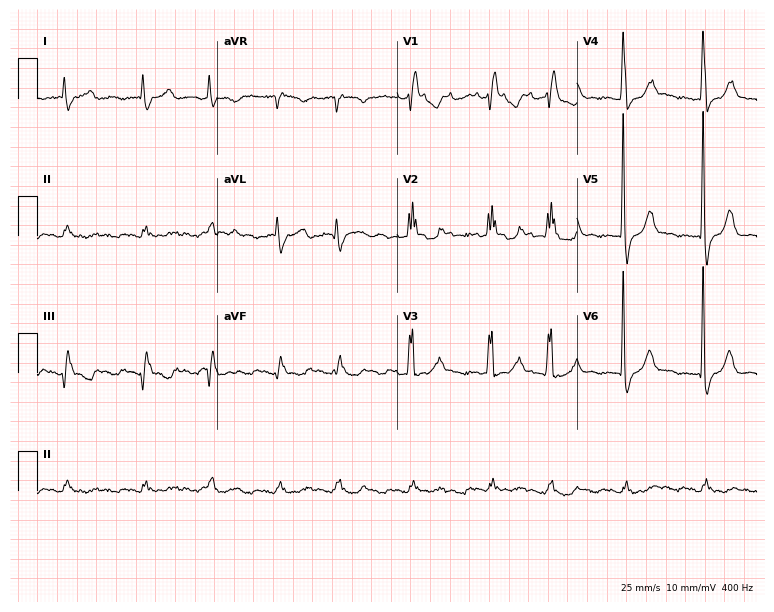
12-lead ECG from a man, 82 years old (7.3-second recording at 400 Hz). No first-degree AV block, right bundle branch block, left bundle branch block, sinus bradycardia, atrial fibrillation or sinus tachycardia recorded for this tracing. Only these six findings were labelled.